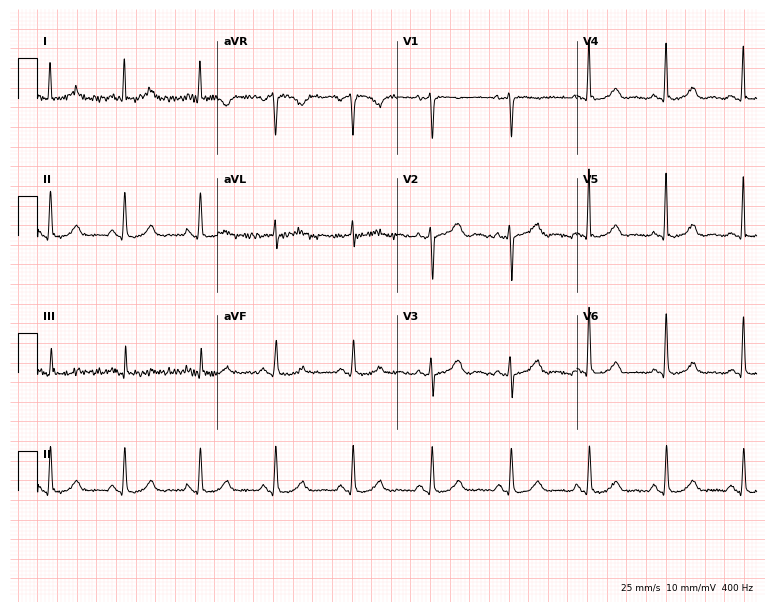
ECG (7.3-second recording at 400 Hz) — a 63-year-old female patient. Screened for six findings — first-degree AV block, right bundle branch block, left bundle branch block, sinus bradycardia, atrial fibrillation, sinus tachycardia — none is recorded.